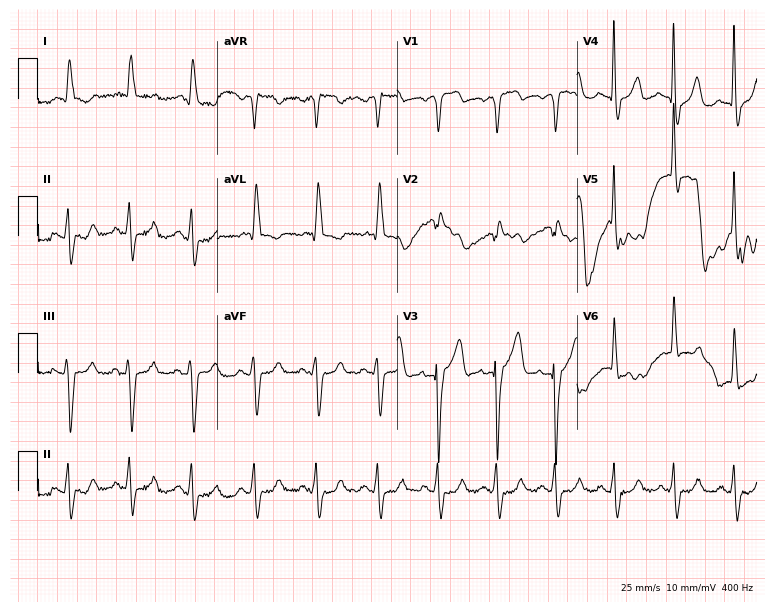
Electrocardiogram, a 72-year-old man. Of the six screened findings (first-degree AV block, right bundle branch block, left bundle branch block, sinus bradycardia, atrial fibrillation, sinus tachycardia), none is recorded. Only these six findings were labelled.